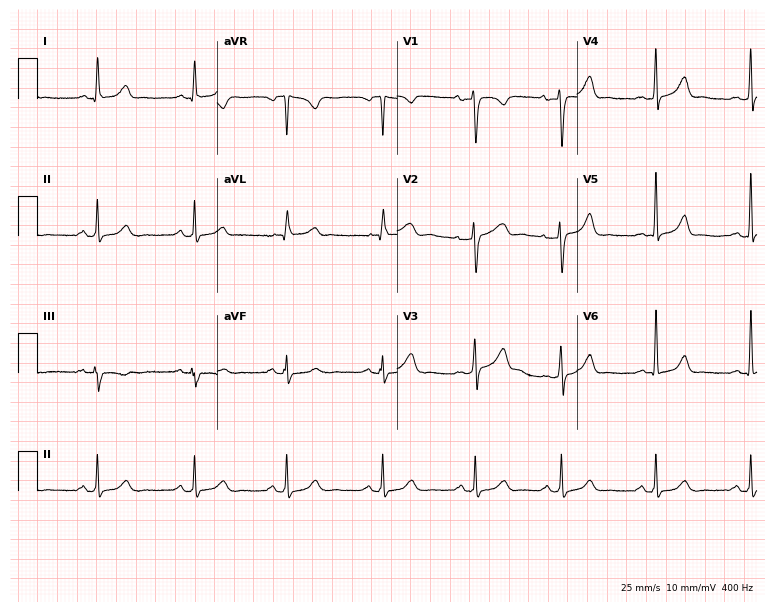
12-lead ECG (7.3-second recording at 400 Hz) from a 28-year-old female. Labelled as a normal ECG.